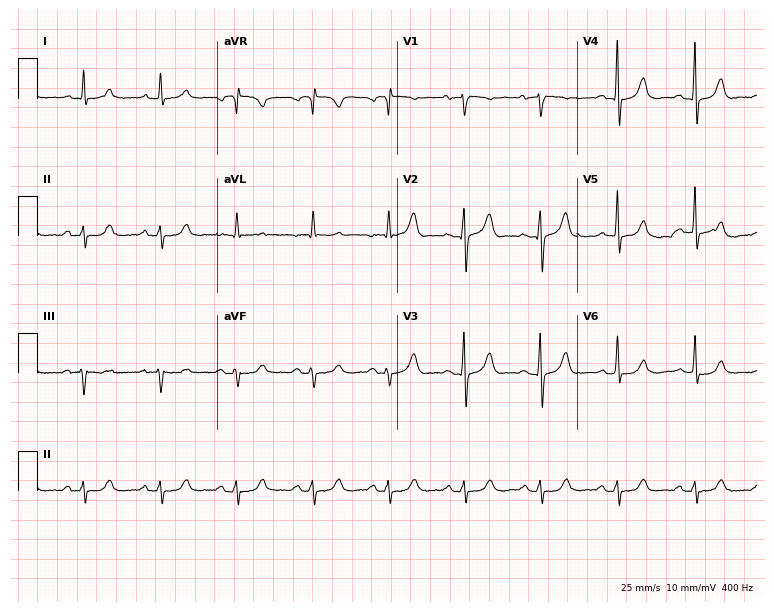
Resting 12-lead electrocardiogram (7.3-second recording at 400 Hz). Patient: a 78-year-old man. None of these six findings is recorded: first-degree AV block, right bundle branch block, left bundle branch block, sinus bradycardia, atrial fibrillation, sinus tachycardia.